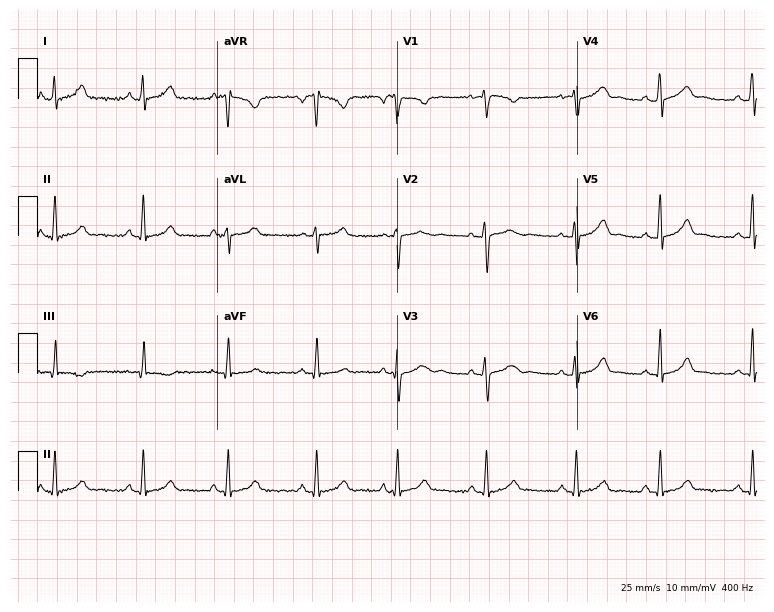
12-lead ECG from a 28-year-old female patient (7.3-second recording at 400 Hz). Recorded interpretation: within normal limits.